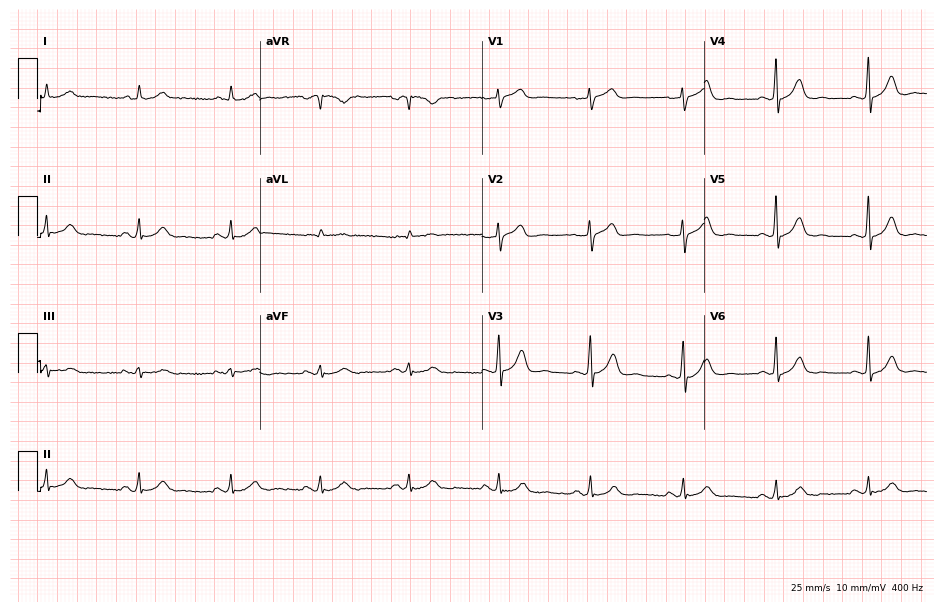
Resting 12-lead electrocardiogram (9.1-second recording at 400 Hz). Patient: a man, 53 years old. Read as a normal ECG.